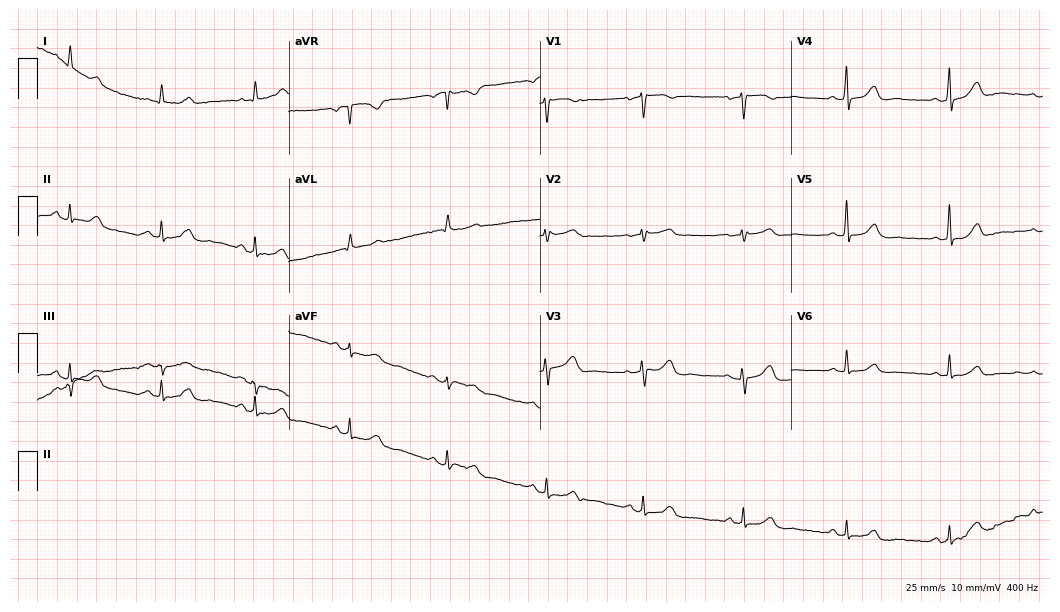
Resting 12-lead electrocardiogram (10.2-second recording at 400 Hz). Patient: a 56-year-old female. Read as a normal ECG.